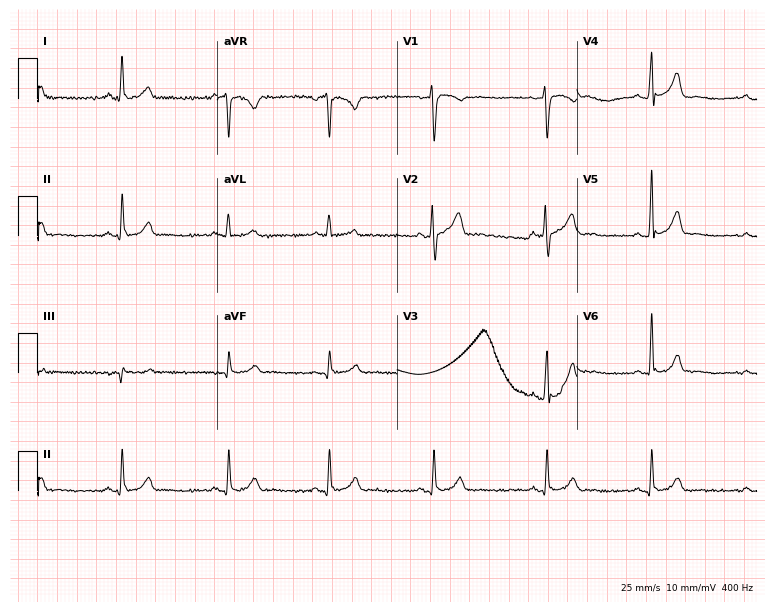
ECG — a 30-year-old man. Labelled as a normal ECG.